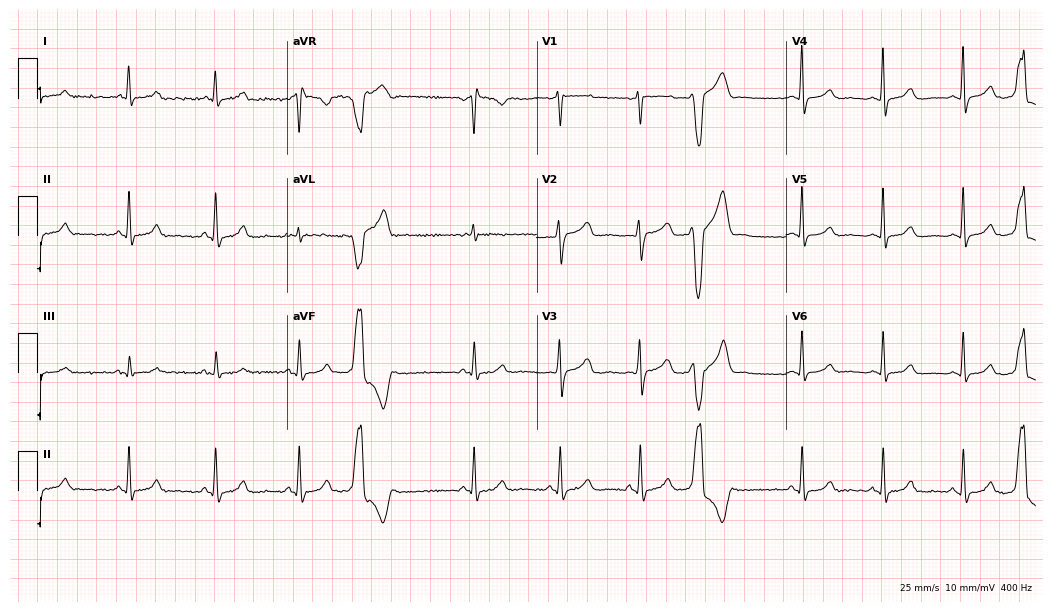
12-lead ECG from a 42-year-old female (10.2-second recording at 400 Hz). No first-degree AV block, right bundle branch block, left bundle branch block, sinus bradycardia, atrial fibrillation or sinus tachycardia recorded for this tracing. Findings outside these six are not listed.